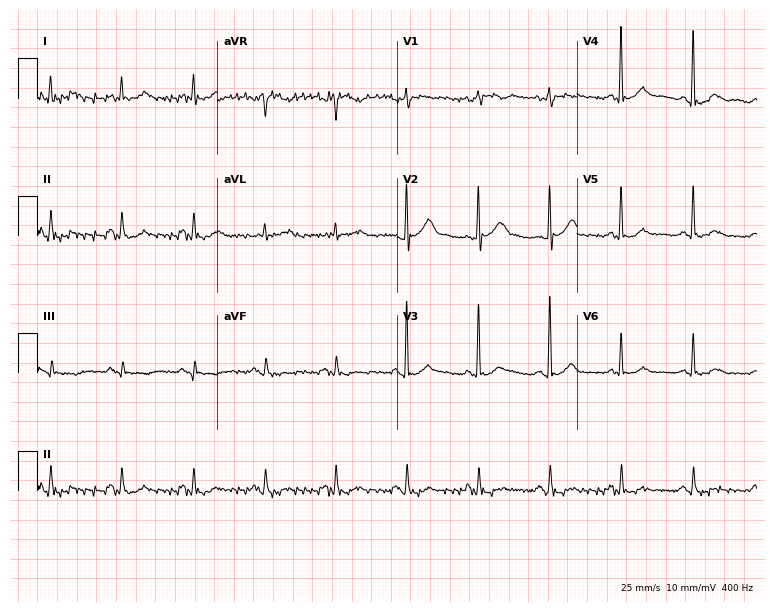
Resting 12-lead electrocardiogram (7.3-second recording at 400 Hz). Patient: a man, 65 years old. None of these six findings is recorded: first-degree AV block, right bundle branch block (RBBB), left bundle branch block (LBBB), sinus bradycardia, atrial fibrillation (AF), sinus tachycardia.